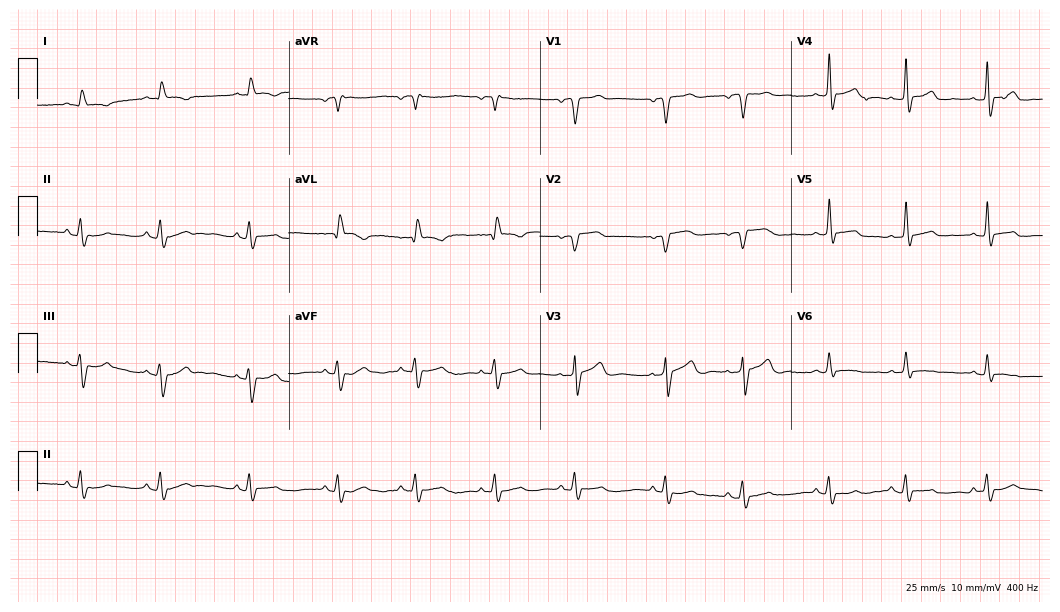
Electrocardiogram (10.2-second recording at 400 Hz), an 85-year-old male patient. Of the six screened findings (first-degree AV block, right bundle branch block (RBBB), left bundle branch block (LBBB), sinus bradycardia, atrial fibrillation (AF), sinus tachycardia), none is recorded.